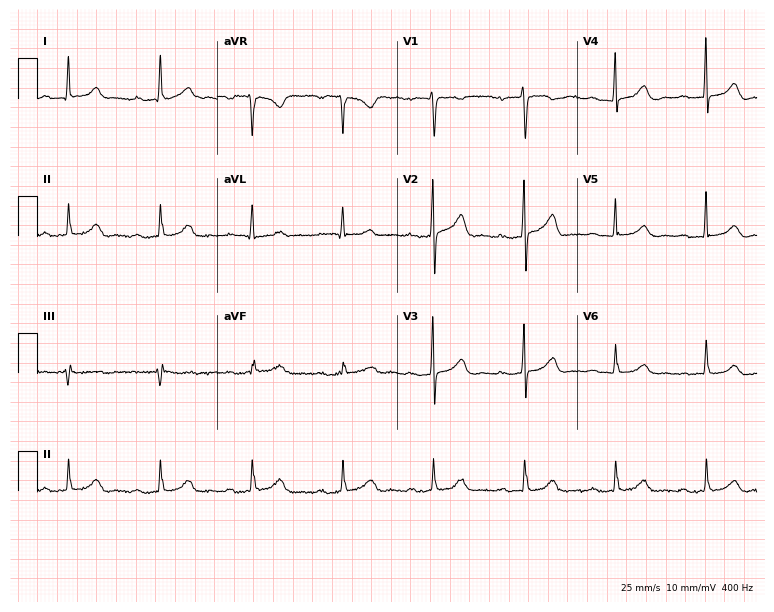
12-lead ECG from a female patient, 61 years old. Shows first-degree AV block.